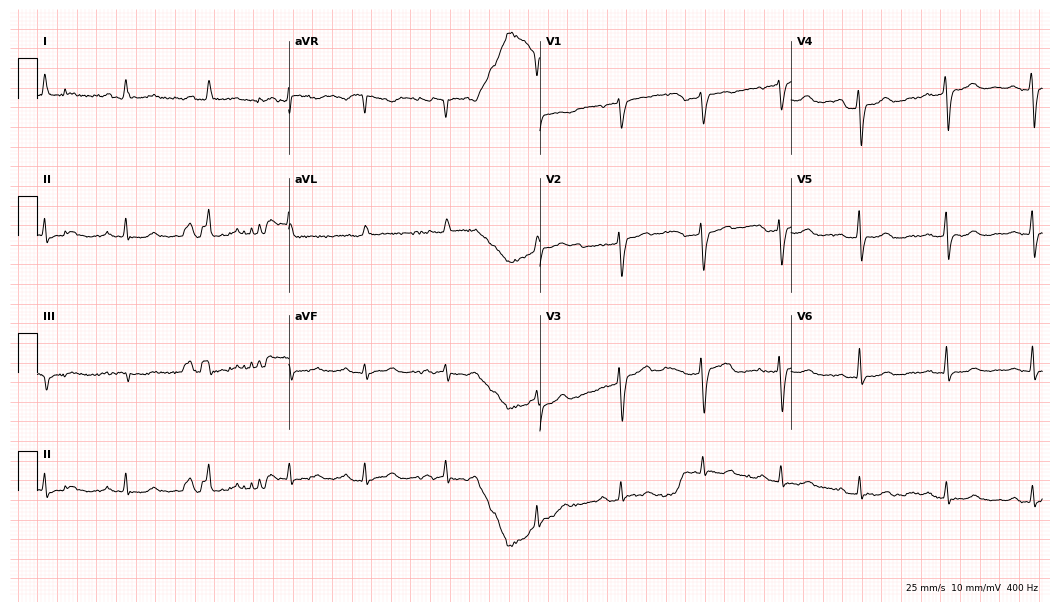
Resting 12-lead electrocardiogram (10.2-second recording at 400 Hz). Patient: a 69-year-old female. None of these six findings is recorded: first-degree AV block, right bundle branch block, left bundle branch block, sinus bradycardia, atrial fibrillation, sinus tachycardia. Only these six findings were labelled.